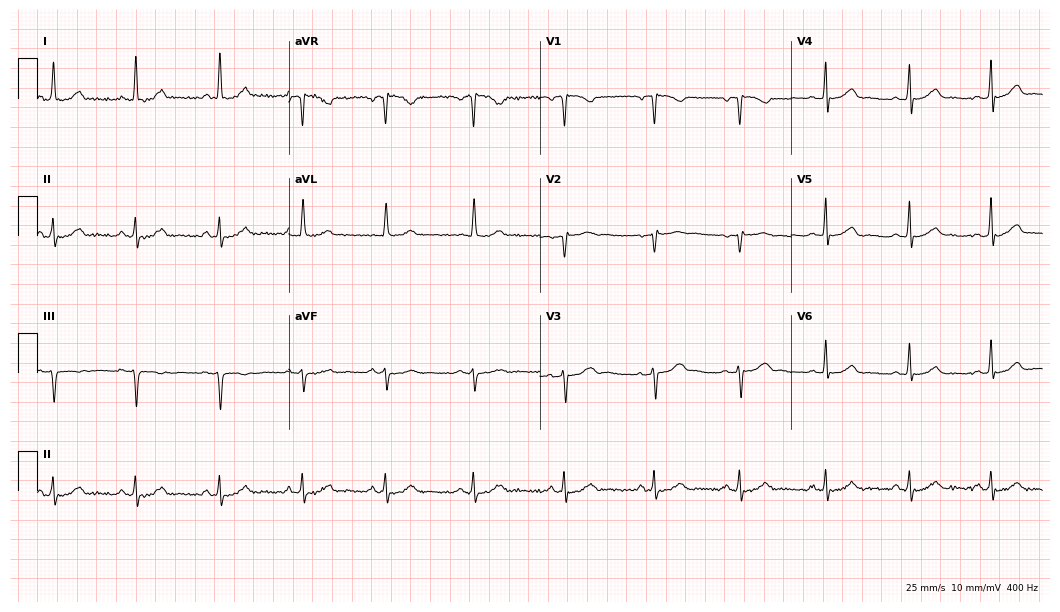
12-lead ECG (10.2-second recording at 400 Hz) from a female, 38 years old. Labelled as a normal ECG.